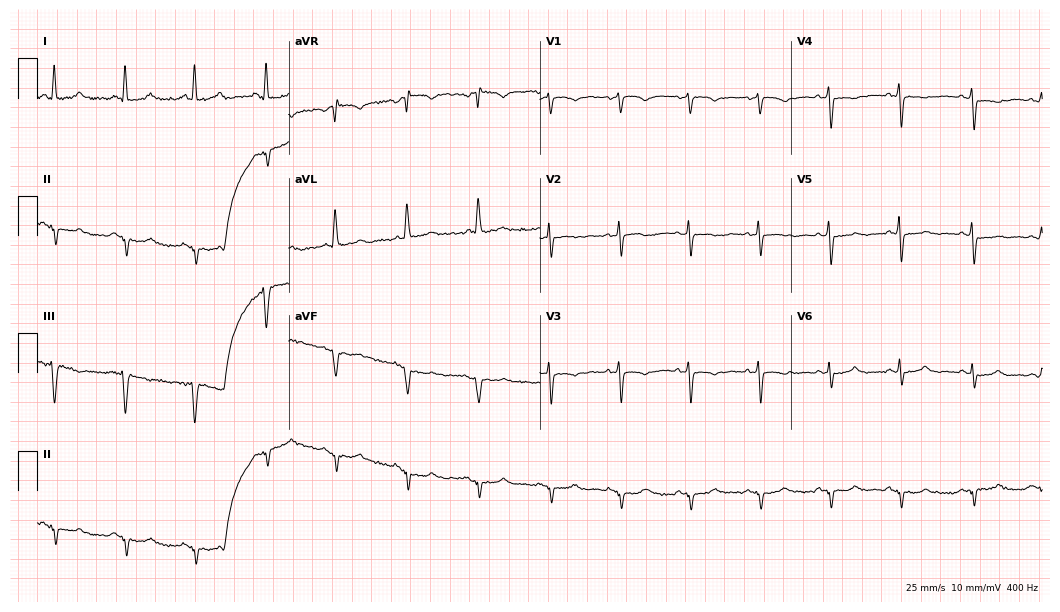
Standard 12-lead ECG recorded from a female patient, 65 years old. None of these six findings is recorded: first-degree AV block, right bundle branch block (RBBB), left bundle branch block (LBBB), sinus bradycardia, atrial fibrillation (AF), sinus tachycardia. Only these six findings were labelled.